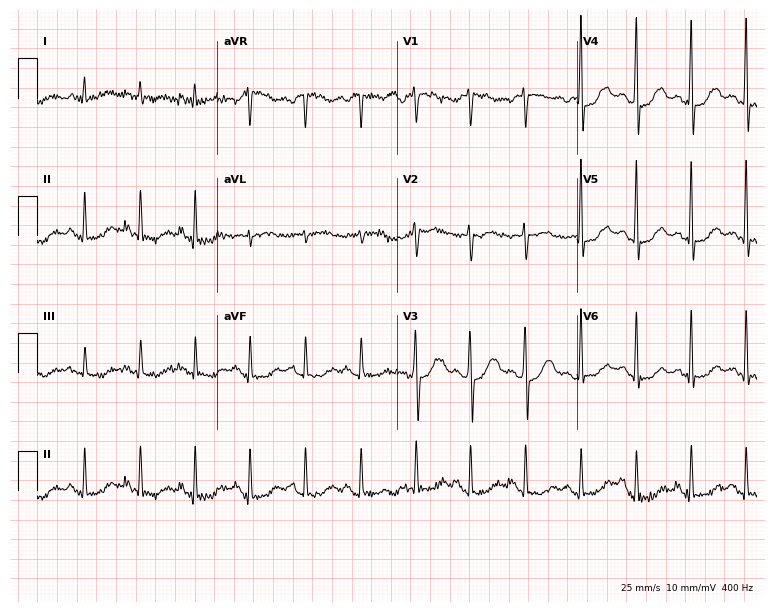
Standard 12-lead ECG recorded from a 38-year-old male. None of these six findings is recorded: first-degree AV block, right bundle branch block, left bundle branch block, sinus bradycardia, atrial fibrillation, sinus tachycardia.